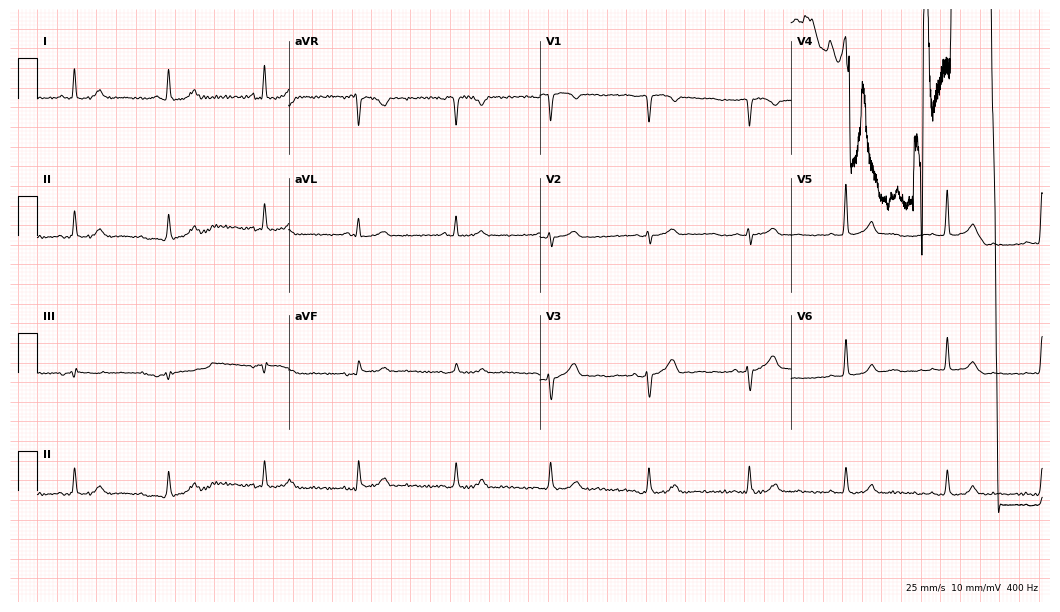
12-lead ECG (10.2-second recording at 400 Hz) from an 83-year-old male patient. Screened for six findings — first-degree AV block, right bundle branch block (RBBB), left bundle branch block (LBBB), sinus bradycardia, atrial fibrillation (AF), sinus tachycardia — none is recorded. Findings outside these six are not listed.